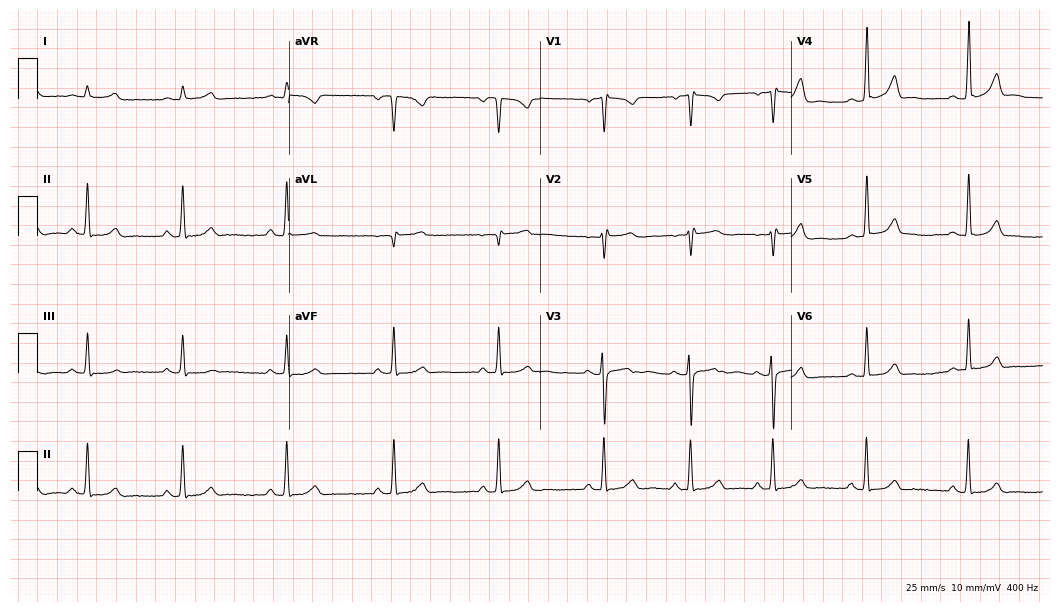
12-lead ECG from a female, 20 years old (10.2-second recording at 400 Hz). No first-degree AV block, right bundle branch block, left bundle branch block, sinus bradycardia, atrial fibrillation or sinus tachycardia recorded for this tracing.